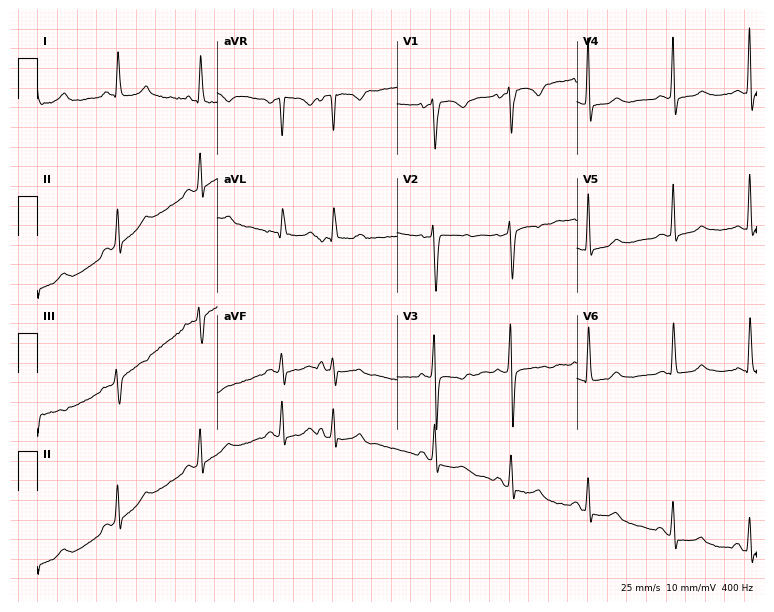
12-lead ECG from a female, 60 years old. Screened for six findings — first-degree AV block, right bundle branch block, left bundle branch block, sinus bradycardia, atrial fibrillation, sinus tachycardia — none is recorded. Only these six findings were labelled.